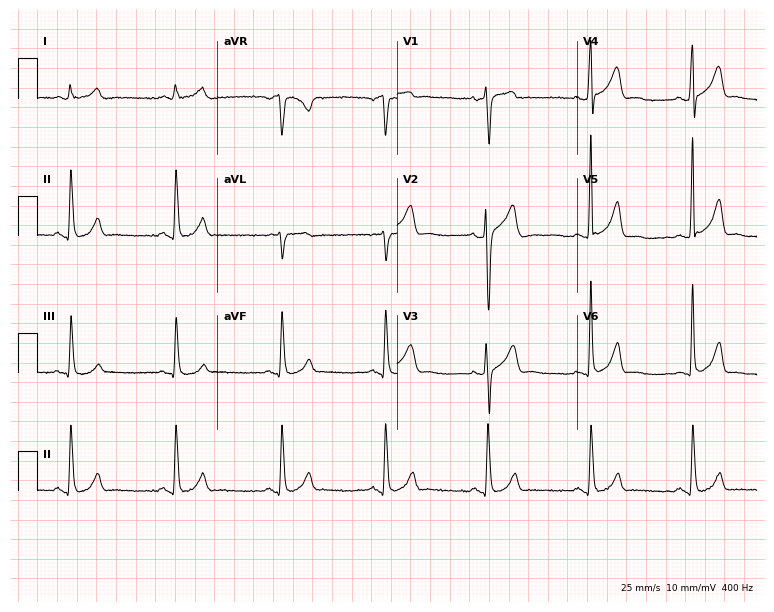
Resting 12-lead electrocardiogram (7.3-second recording at 400 Hz). Patient: a male, 73 years old. Read as a normal ECG.